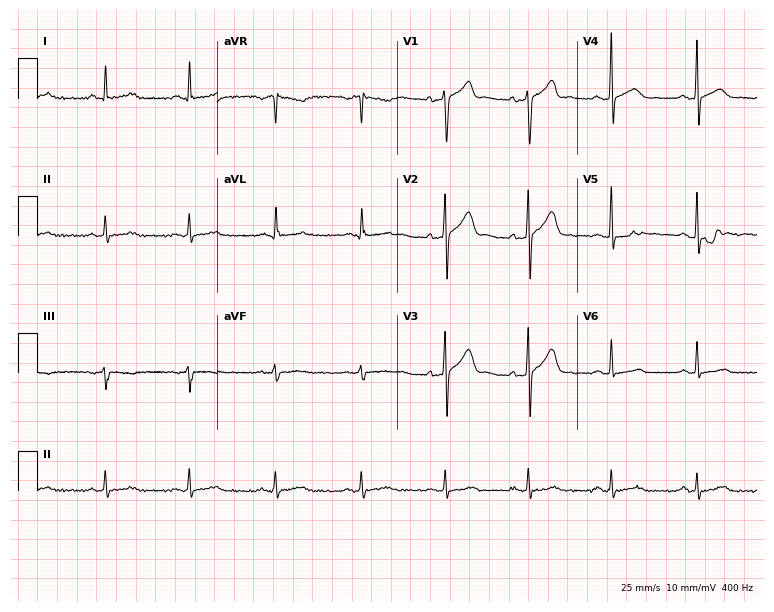
Standard 12-lead ECG recorded from a 48-year-old female patient (7.3-second recording at 400 Hz). None of these six findings is recorded: first-degree AV block, right bundle branch block (RBBB), left bundle branch block (LBBB), sinus bradycardia, atrial fibrillation (AF), sinus tachycardia. Only these six findings were labelled.